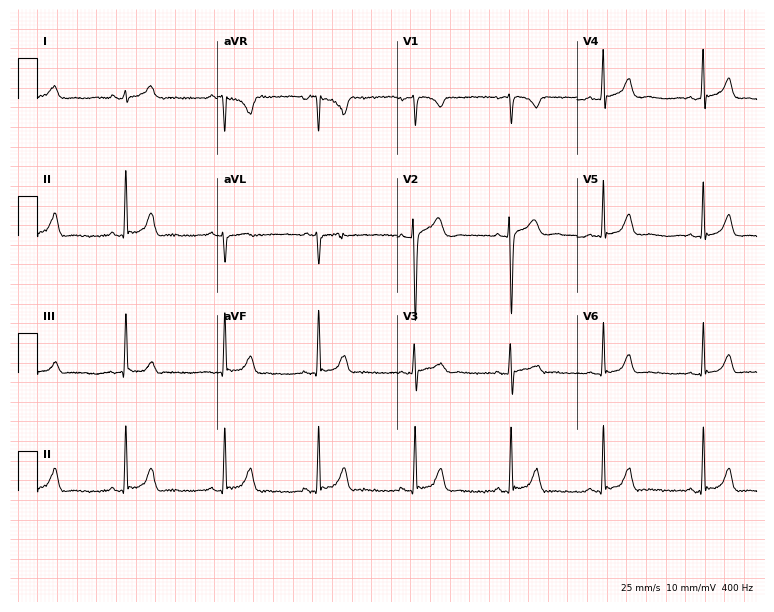
Standard 12-lead ECG recorded from a woman, 17 years old (7.3-second recording at 400 Hz). Read as a normal ECG.